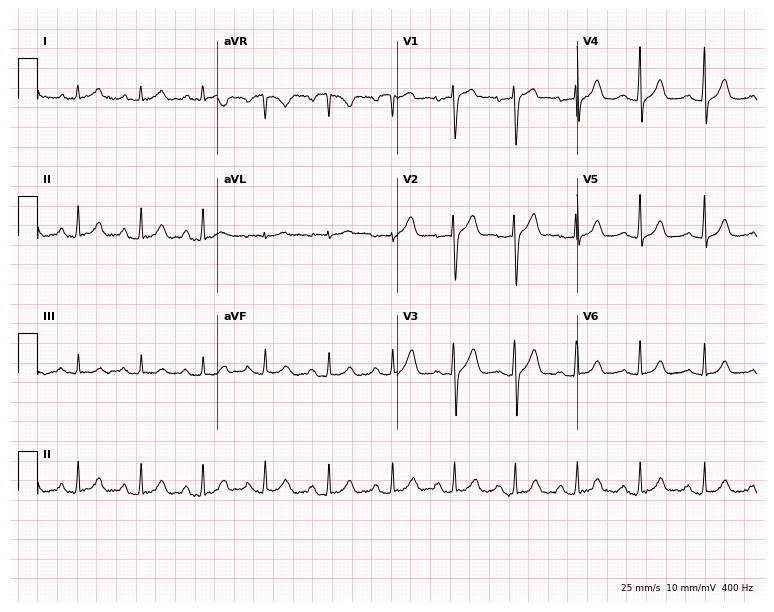
ECG (7.3-second recording at 400 Hz) — a man, 34 years old. Screened for six findings — first-degree AV block, right bundle branch block (RBBB), left bundle branch block (LBBB), sinus bradycardia, atrial fibrillation (AF), sinus tachycardia — none is recorded.